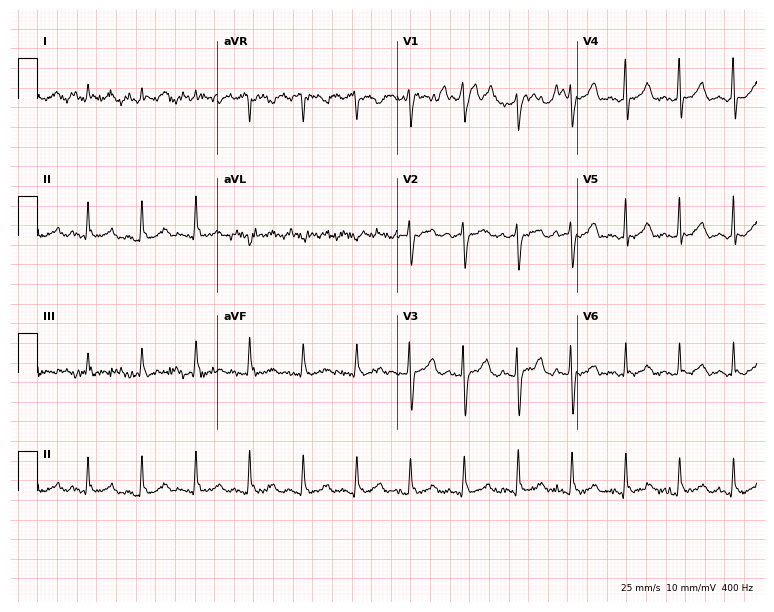
12-lead ECG from a male patient, 74 years old. Screened for six findings — first-degree AV block, right bundle branch block, left bundle branch block, sinus bradycardia, atrial fibrillation, sinus tachycardia — none is recorded. Findings outside these six are not listed.